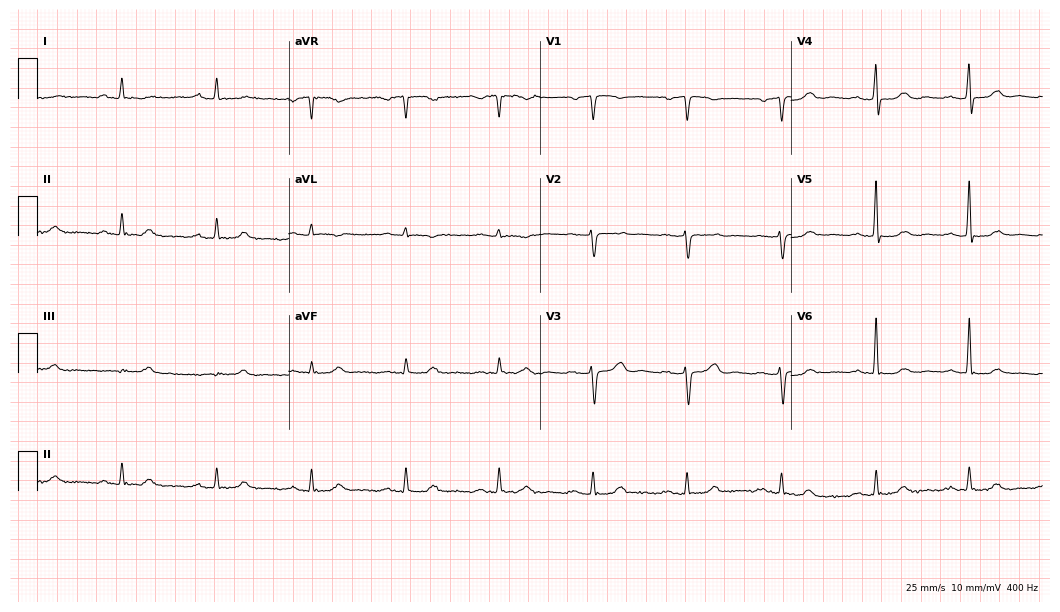
12-lead ECG from a 70-year-old female. No first-degree AV block, right bundle branch block, left bundle branch block, sinus bradycardia, atrial fibrillation or sinus tachycardia recorded for this tracing. Only these six findings were labelled.